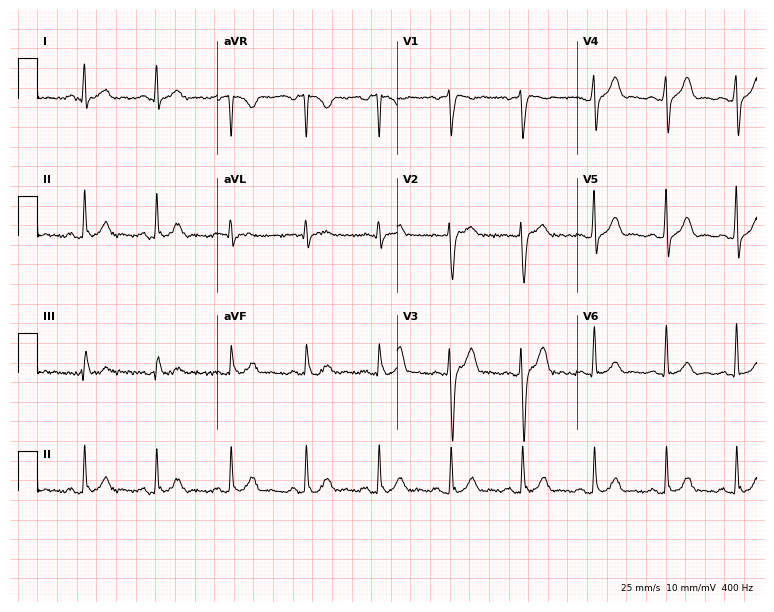
12-lead ECG (7.3-second recording at 400 Hz) from a male patient, 42 years old. Labelled as a normal ECG.